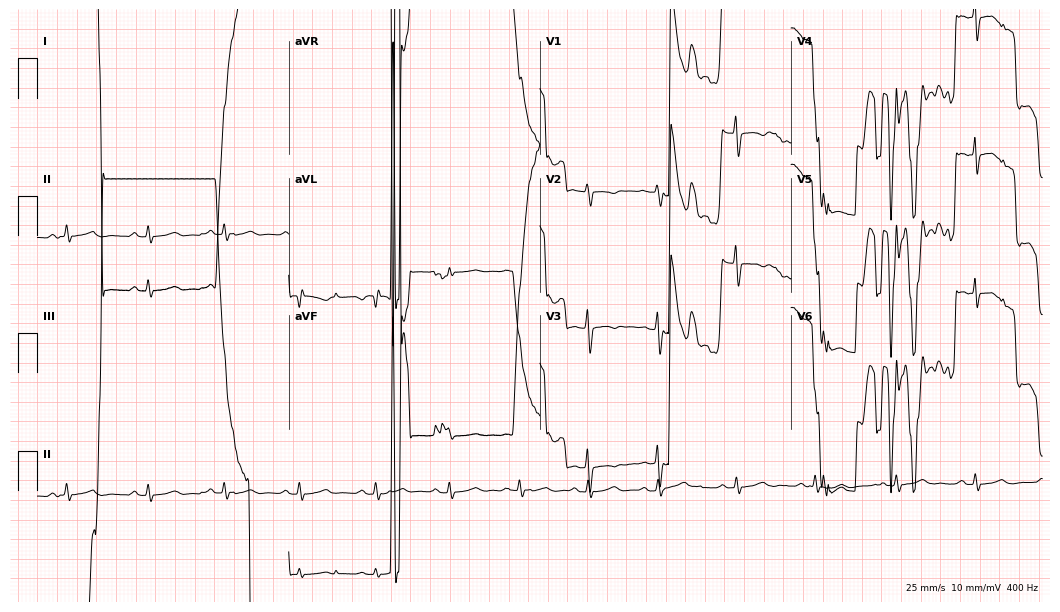
ECG (10.2-second recording at 400 Hz) — a female patient, 33 years old. Screened for six findings — first-degree AV block, right bundle branch block, left bundle branch block, sinus bradycardia, atrial fibrillation, sinus tachycardia — none is recorded.